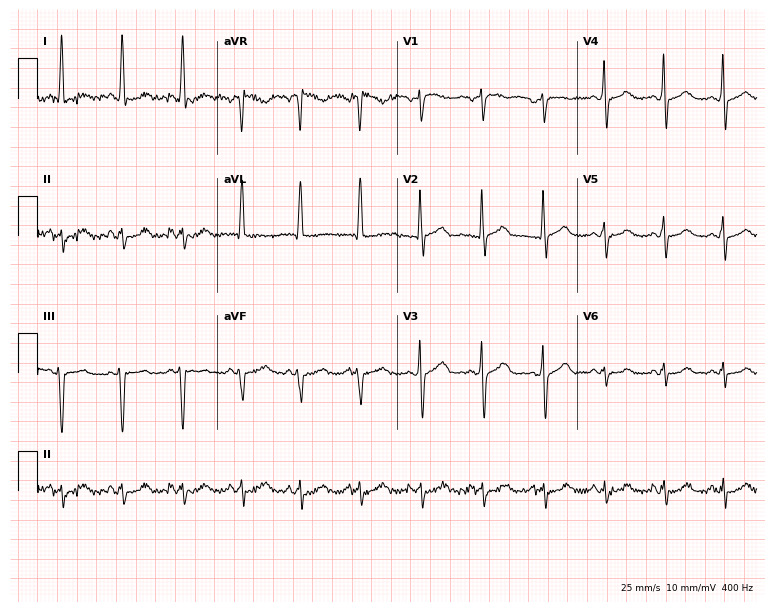
12-lead ECG from a woman, 56 years old. No first-degree AV block, right bundle branch block (RBBB), left bundle branch block (LBBB), sinus bradycardia, atrial fibrillation (AF) or sinus tachycardia recorded for this tracing. Findings outside these six are not listed.